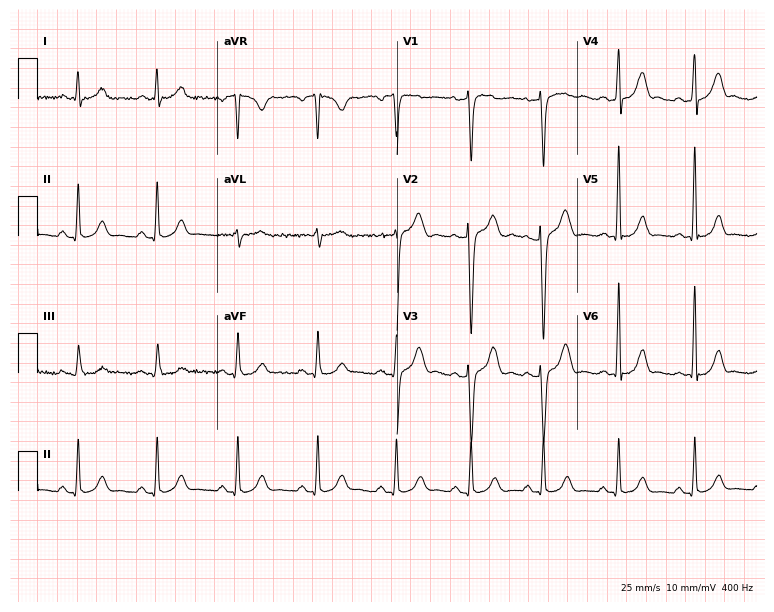
ECG (7.3-second recording at 400 Hz) — a male patient, 39 years old. Screened for six findings — first-degree AV block, right bundle branch block (RBBB), left bundle branch block (LBBB), sinus bradycardia, atrial fibrillation (AF), sinus tachycardia — none is recorded.